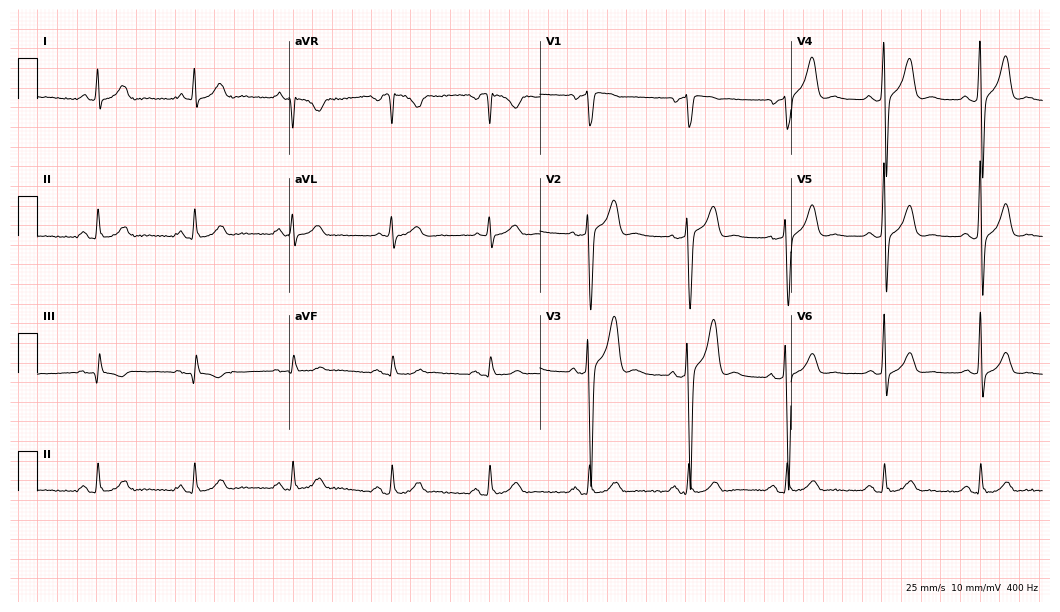
ECG — a 66-year-old male. Screened for six findings — first-degree AV block, right bundle branch block (RBBB), left bundle branch block (LBBB), sinus bradycardia, atrial fibrillation (AF), sinus tachycardia — none is recorded. Other findings, if any, are not listed.